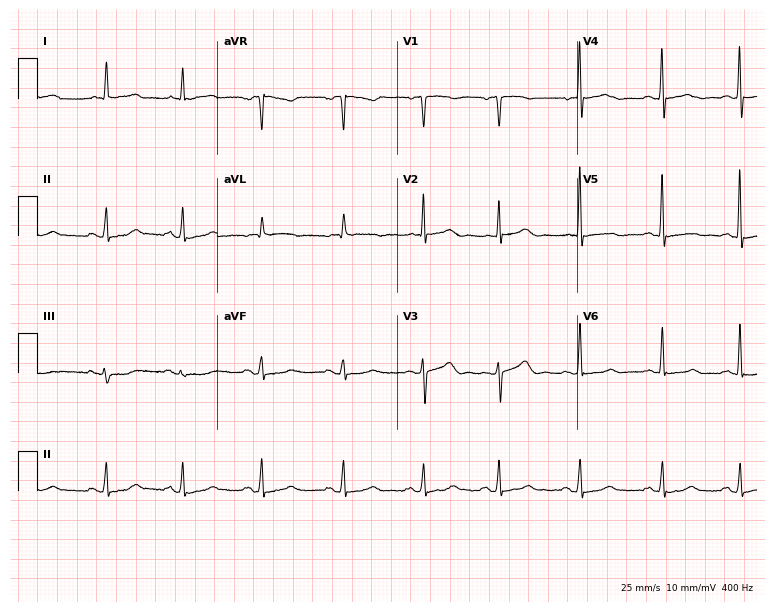
12-lead ECG from a female patient, 72 years old. Screened for six findings — first-degree AV block, right bundle branch block, left bundle branch block, sinus bradycardia, atrial fibrillation, sinus tachycardia — none is recorded. Other findings, if any, are not listed.